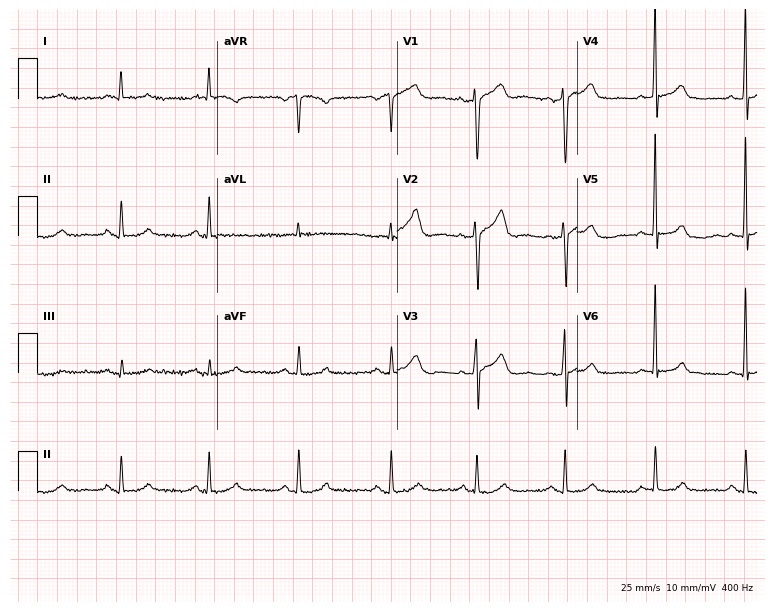
ECG — a male, 53 years old. Labelled as a normal ECG.